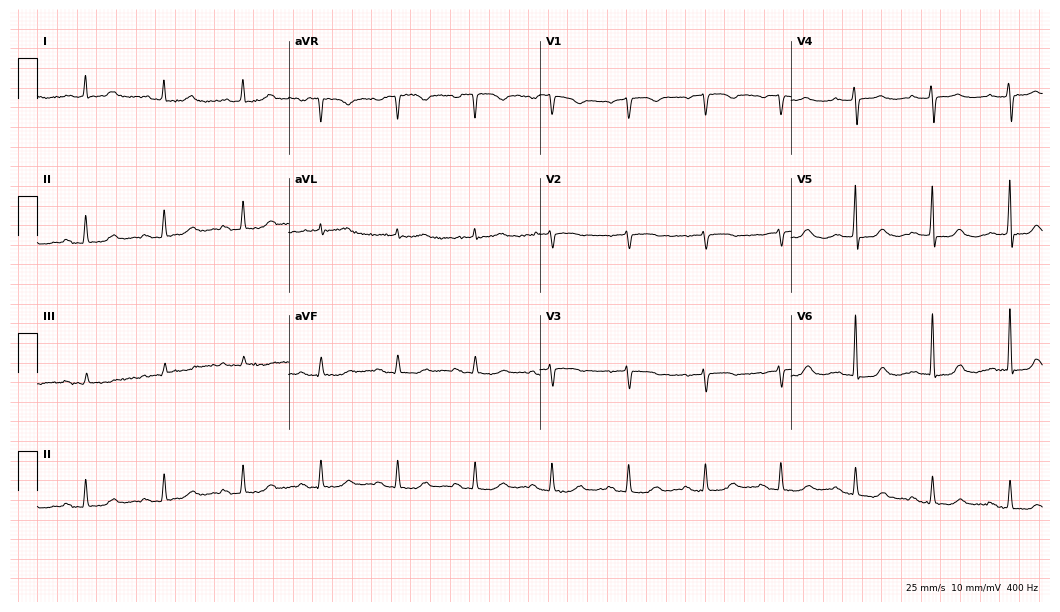
Electrocardiogram (10.2-second recording at 400 Hz), a woman, 80 years old. Overall reading on record: normal ECG.